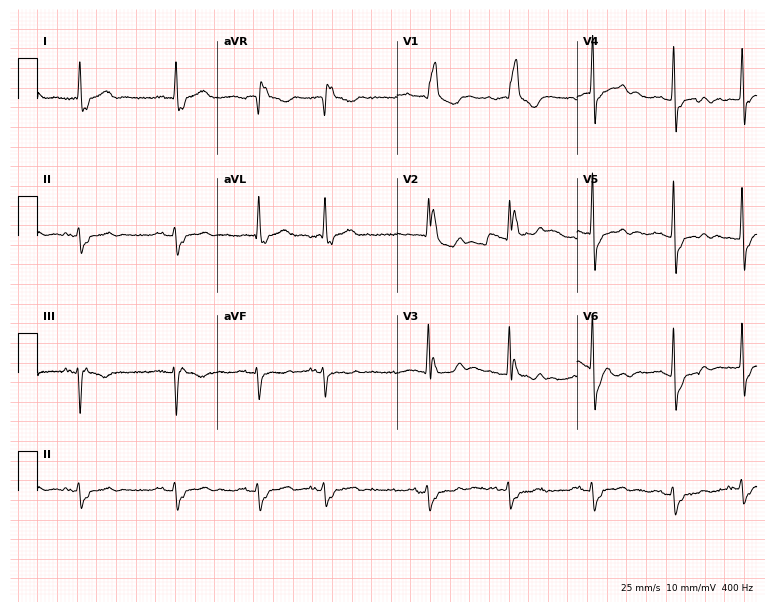
12-lead ECG from a 78-year-old man (7.3-second recording at 400 Hz). Shows right bundle branch block.